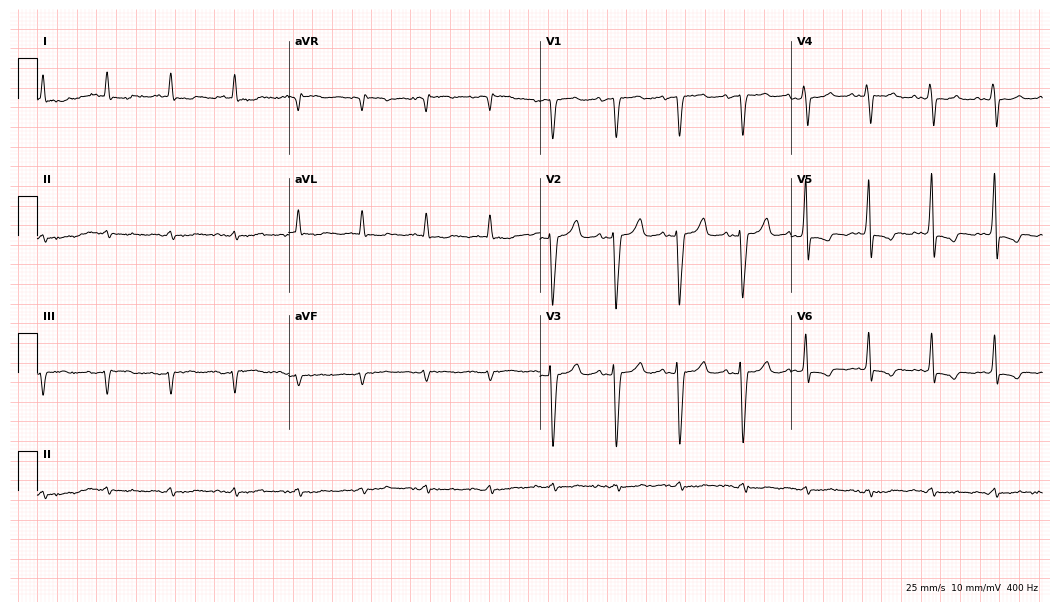
12-lead ECG from a 77-year-old male (10.2-second recording at 400 Hz). No first-degree AV block, right bundle branch block, left bundle branch block, sinus bradycardia, atrial fibrillation or sinus tachycardia recorded for this tracing.